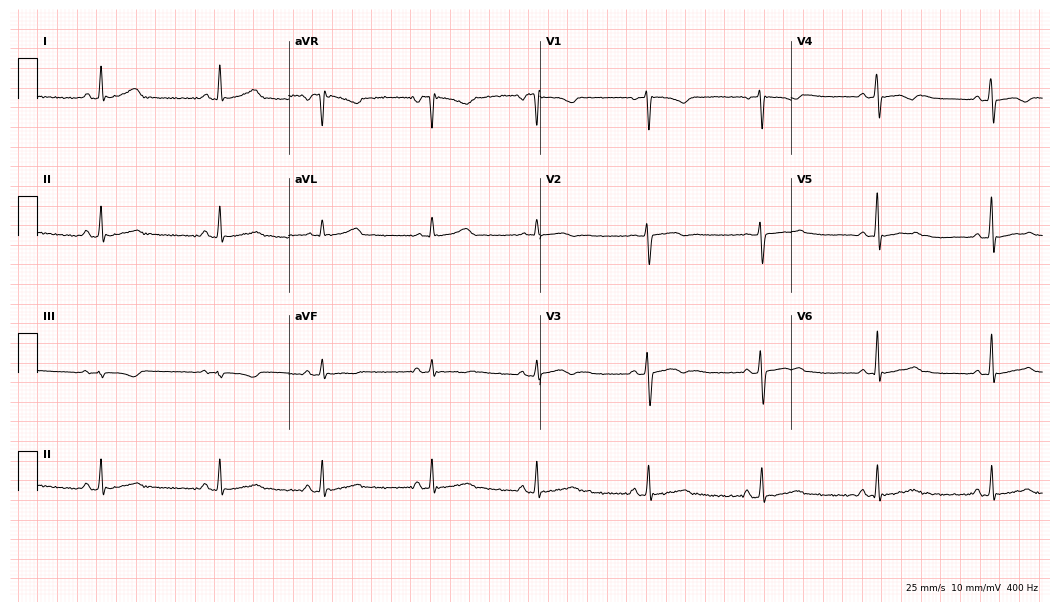
ECG — a 52-year-old female. Labelled as a normal ECG.